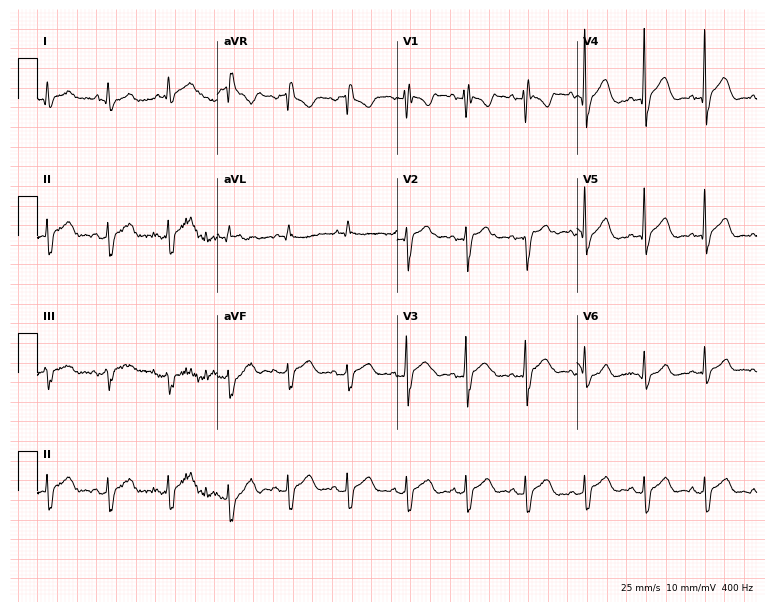
Resting 12-lead electrocardiogram (7.3-second recording at 400 Hz). Patient: a 35-year-old man. None of these six findings is recorded: first-degree AV block, right bundle branch block, left bundle branch block, sinus bradycardia, atrial fibrillation, sinus tachycardia. Only these six findings were labelled.